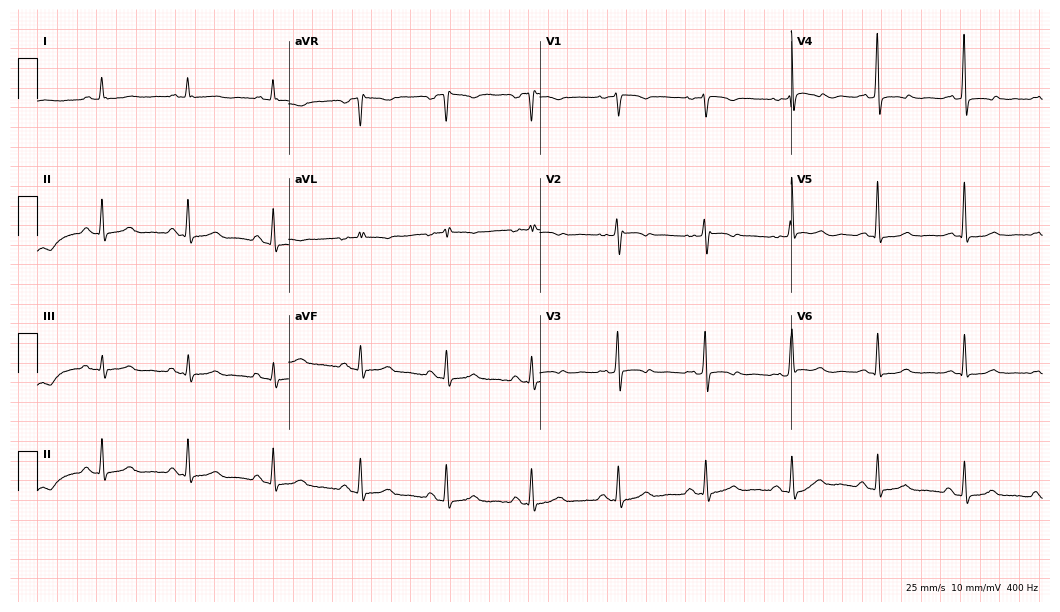
Electrocardiogram (10.2-second recording at 400 Hz), a female, 56 years old. Of the six screened findings (first-degree AV block, right bundle branch block, left bundle branch block, sinus bradycardia, atrial fibrillation, sinus tachycardia), none is recorded. Findings outside these six are not listed.